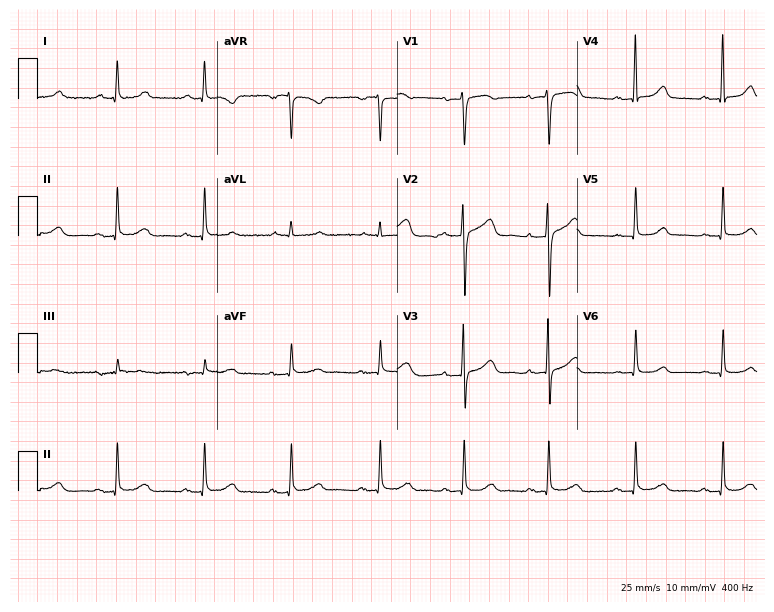
12-lead ECG from a 78-year-old female patient (7.3-second recording at 400 Hz). Recorded interpretation: within normal limits.